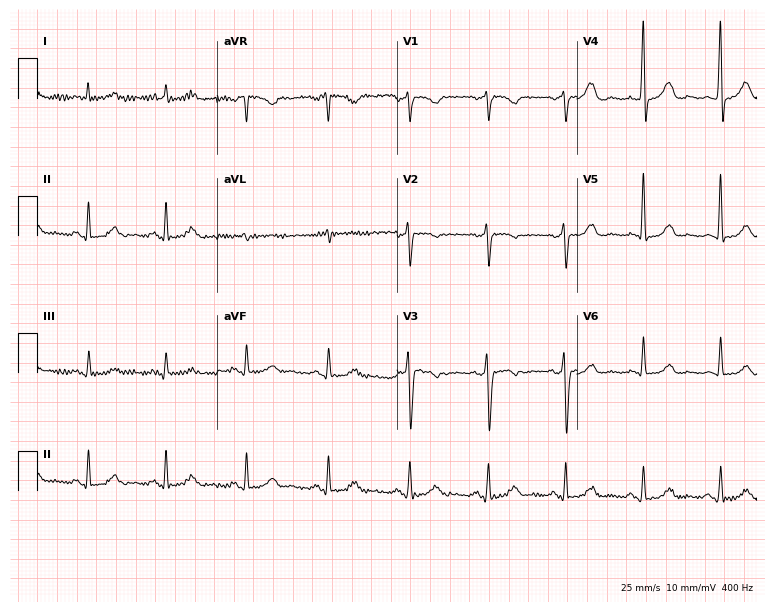
ECG (7.3-second recording at 400 Hz) — a woman, 55 years old. Screened for six findings — first-degree AV block, right bundle branch block (RBBB), left bundle branch block (LBBB), sinus bradycardia, atrial fibrillation (AF), sinus tachycardia — none is recorded. Findings outside these six are not listed.